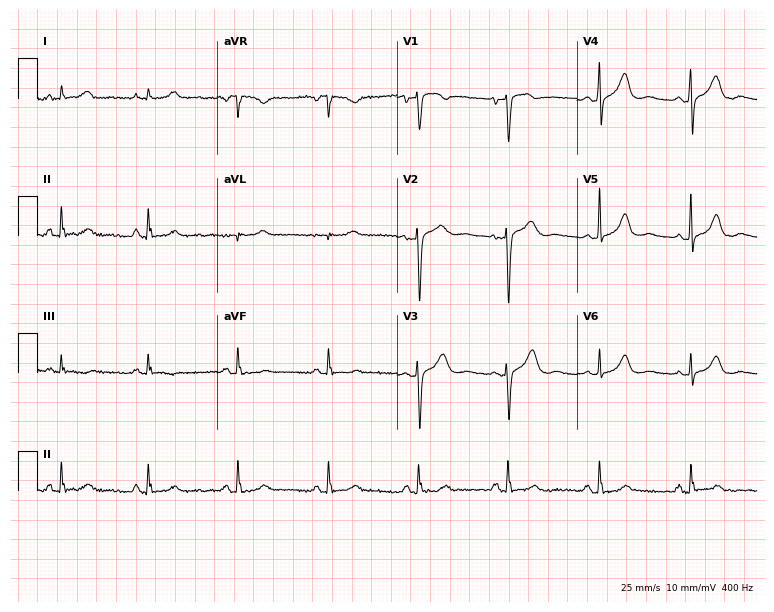
12-lead ECG (7.3-second recording at 400 Hz) from a 62-year-old woman. Screened for six findings — first-degree AV block, right bundle branch block, left bundle branch block, sinus bradycardia, atrial fibrillation, sinus tachycardia — none is recorded.